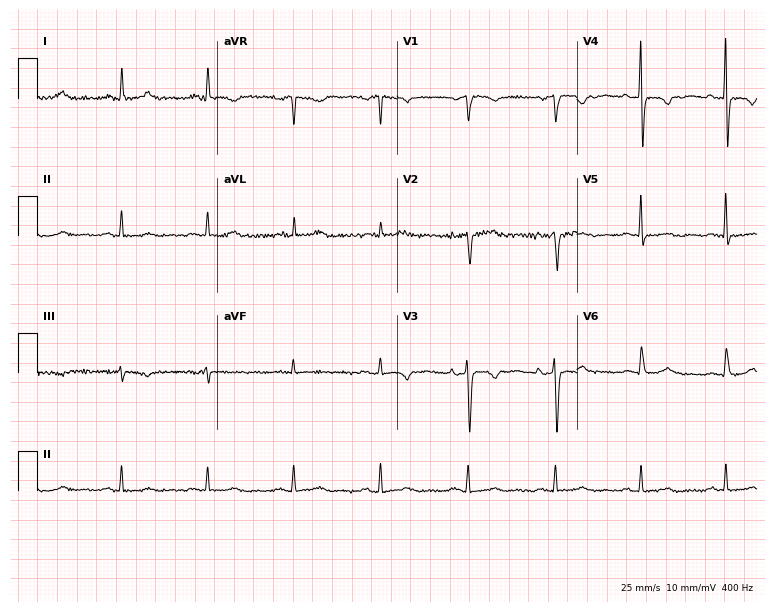
ECG (7.3-second recording at 400 Hz) — a female, 48 years old. Screened for six findings — first-degree AV block, right bundle branch block, left bundle branch block, sinus bradycardia, atrial fibrillation, sinus tachycardia — none is recorded. Only these six findings were labelled.